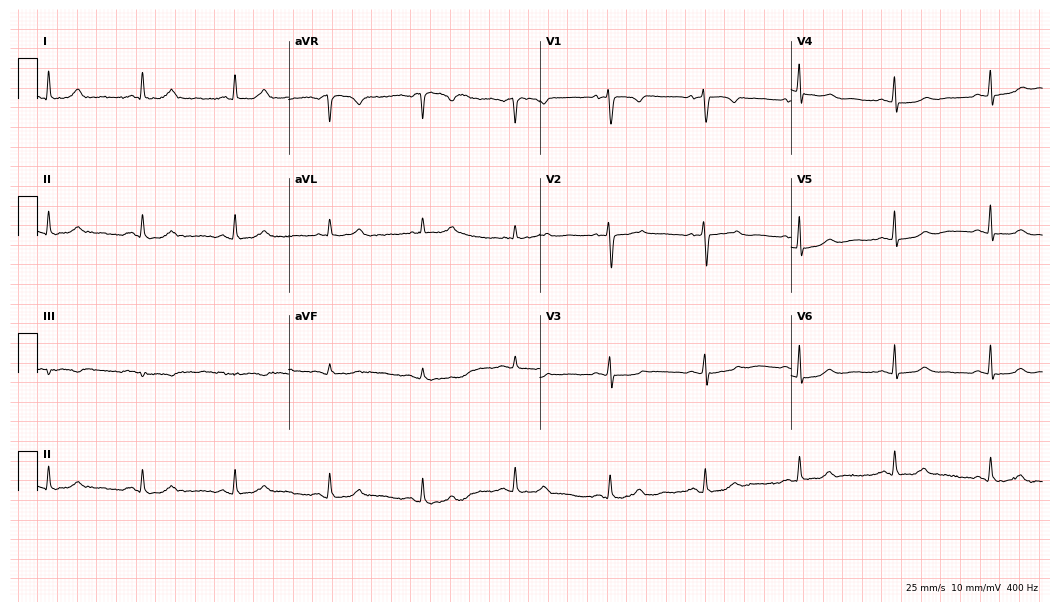
12-lead ECG from a 73-year-old woman. Labelled as a normal ECG.